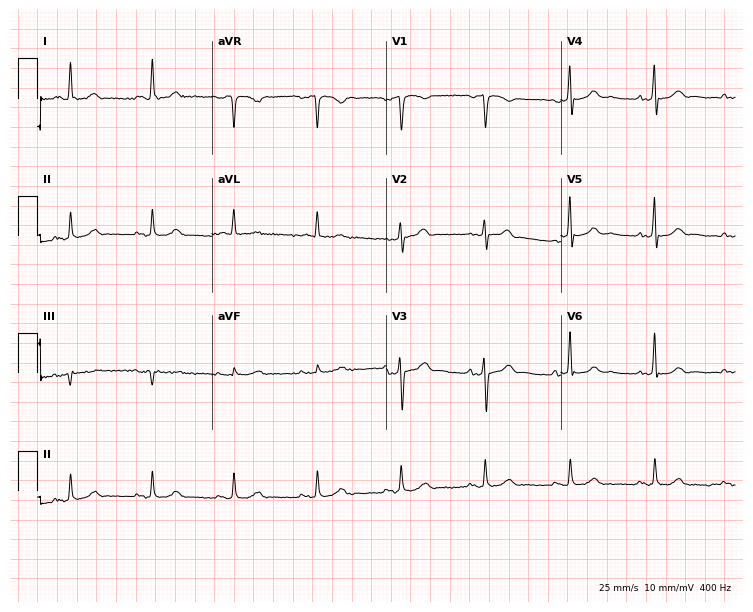
12-lead ECG from a male, 67 years old (7.1-second recording at 400 Hz). Recorded interpretation: within normal limits.